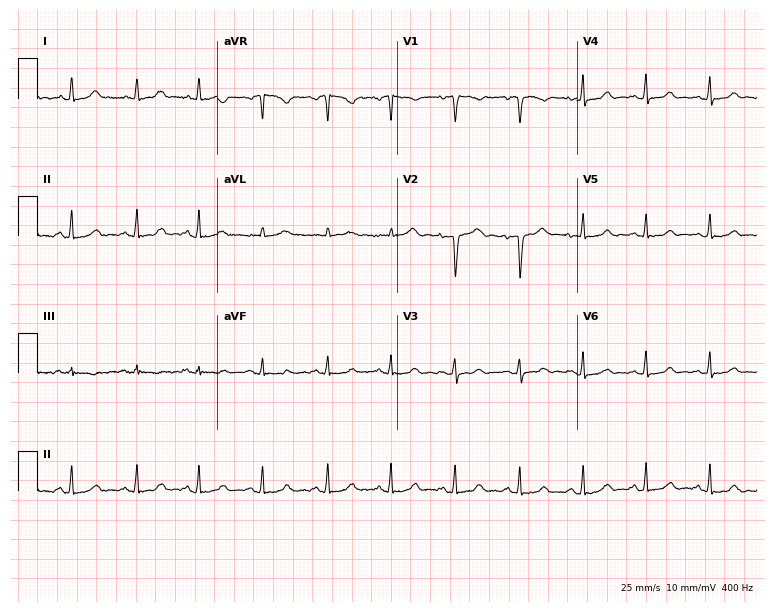
Resting 12-lead electrocardiogram (7.3-second recording at 400 Hz). Patient: a woman, 36 years old. Read as a normal ECG.